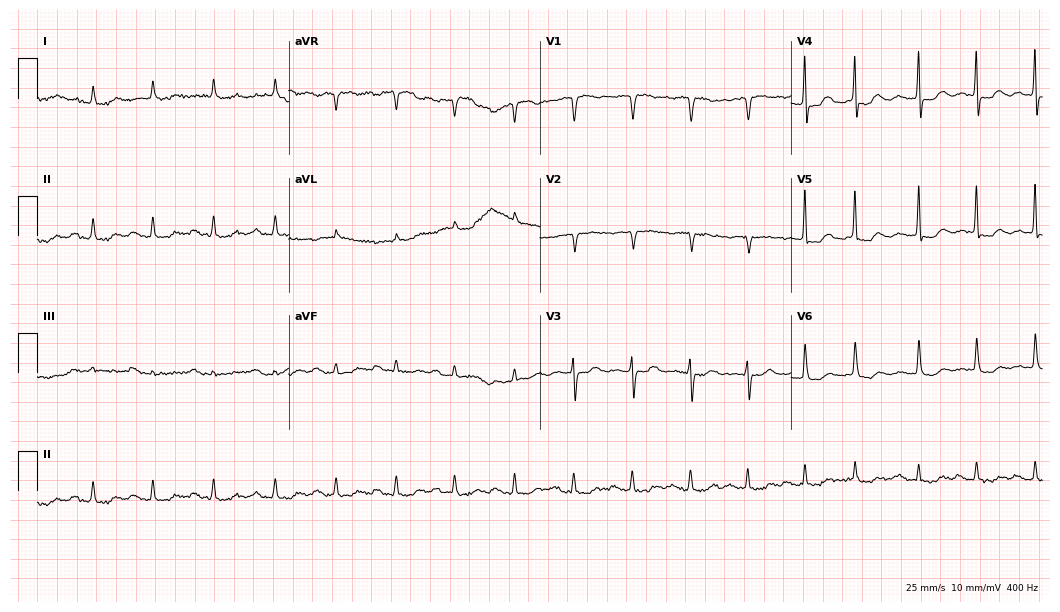
Electrocardiogram, an 84-year-old woman. Of the six screened findings (first-degree AV block, right bundle branch block (RBBB), left bundle branch block (LBBB), sinus bradycardia, atrial fibrillation (AF), sinus tachycardia), none is recorded.